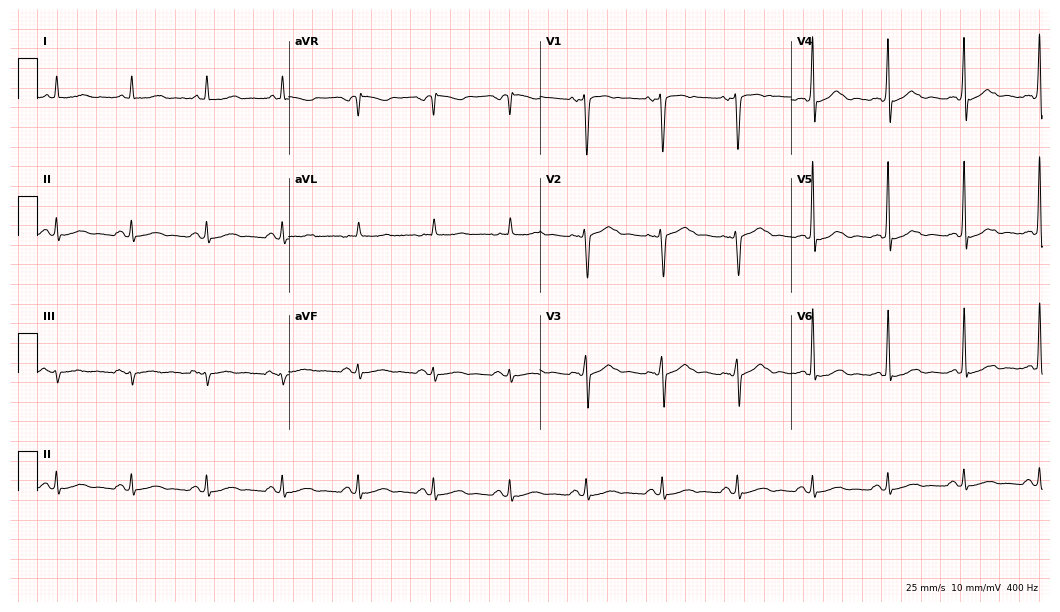
Standard 12-lead ECG recorded from a male, 62 years old. Read as a normal ECG.